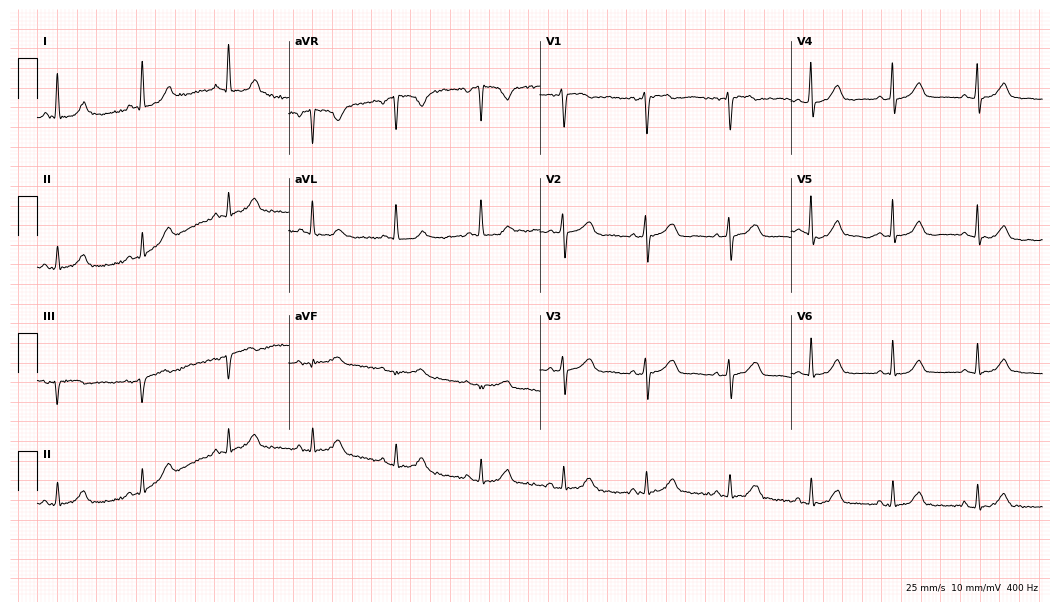
Standard 12-lead ECG recorded from a 65-year-old female patient. Read as a normal ECG.